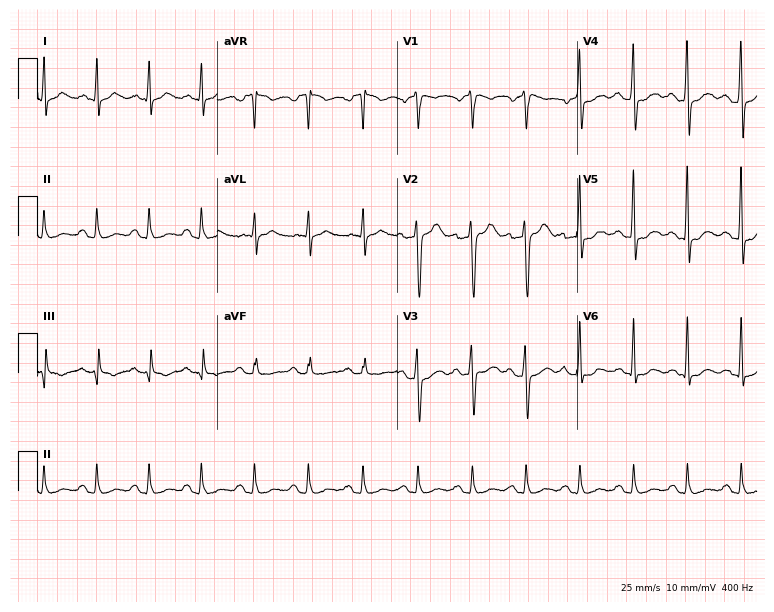
ECG (7.3-second recording at 400 Hz) — a 46-year-old male. Findings include sinus tachycardia (a sinus rate of 100 beats per minute or more).